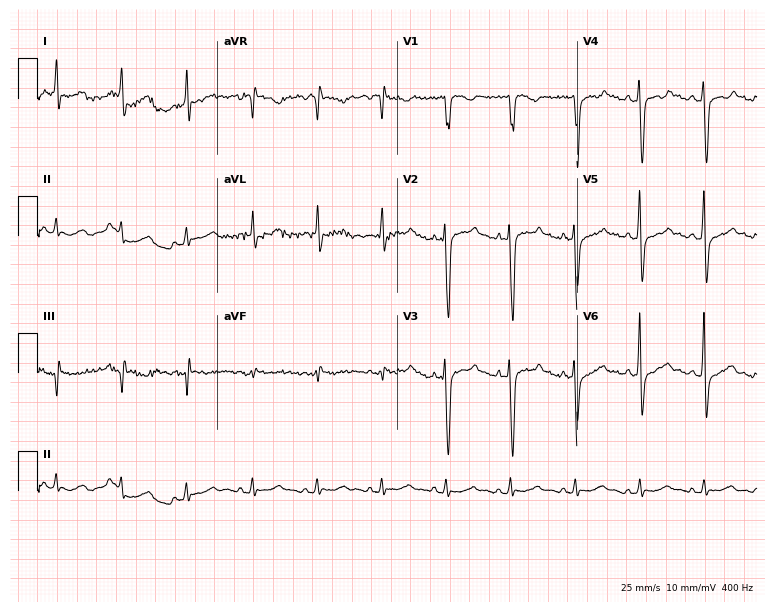
12-lead ECG from a male patient, 30 years old (7.3-second recording at 400 Hz). No first-degree AV block, right bundle branch block, left bundle branch block, sinus bradycardia, atrial fibrillation or sinus tachycardia recorded for this tracing. Other findings, if any, are not listed.